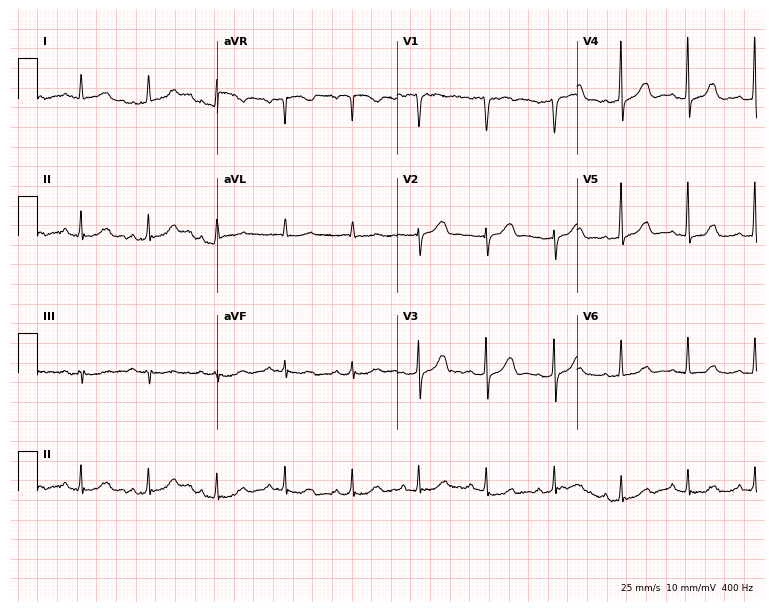
Standard 12-lead ECG recorded from a 66-year-old female (7.3-second recording at 400 Hz). Read as a normal ECG.